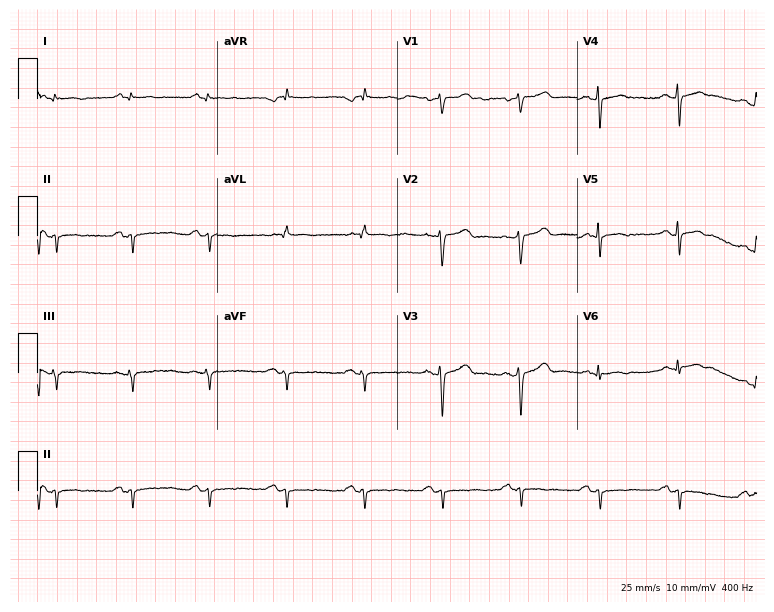
Standard 12-lead ECG recorded from a male patient, 68 years old. None of these six findings is recorded: first-degree AV block, right bundle branch block, left bundle branch block, sinus bradycardia, atrial fibrillation, sinus tachycardia.